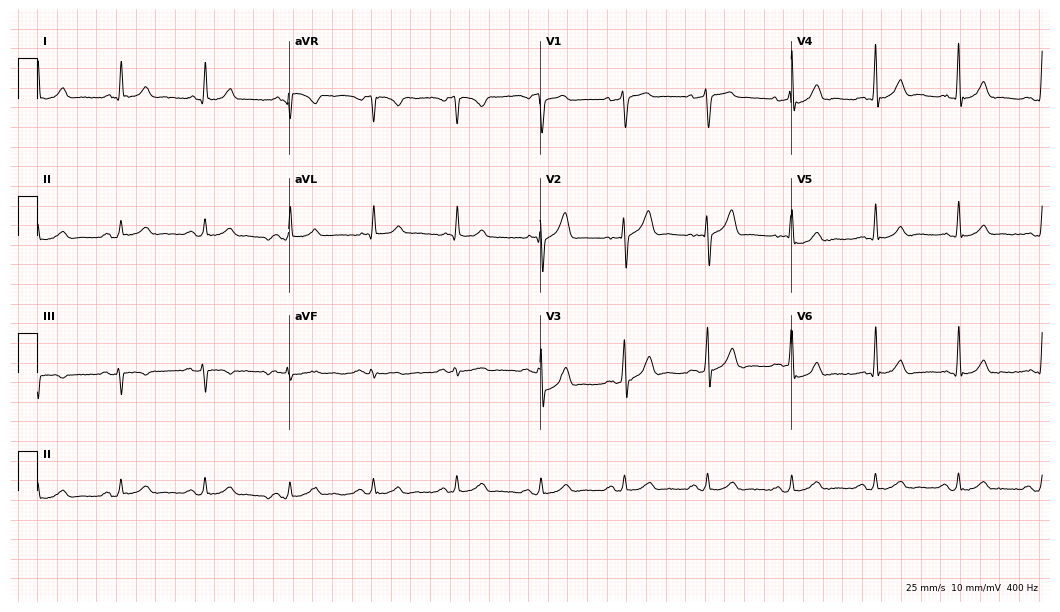
ECG — a male, 54 years old. Screened for six findings — first-degree AV block, right bundle branch block (RBBB), left bundle branch block (LBBB), sinus bradycardia, atrial fibrillation (AF), sinus tachycardia — none is recorded.